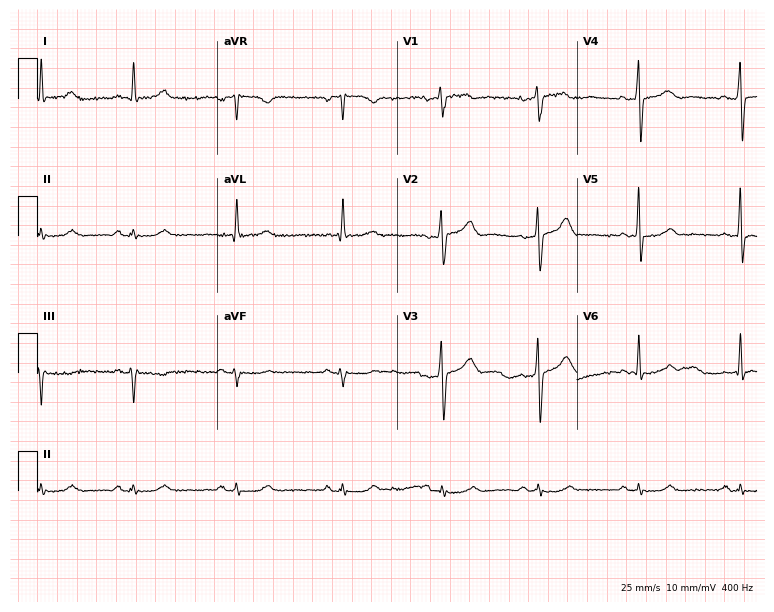
12-lead ECG from a 53-year-old male. Labelled as a normal ECG.